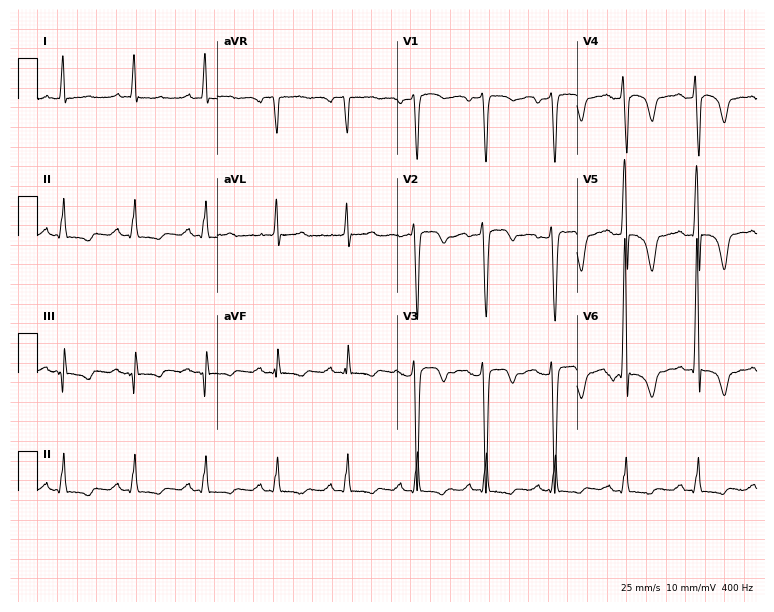
Electrocardiogram, a 55-year-old male patient. Of the six screened findings (first-degree AV block, right bundle branch block (RBBB), left bundle branch block (LBBB), sinus bradycardia, atrial fibrillation (AF), sinus tachycardia), none is recorded. Only these six findings were labelled.